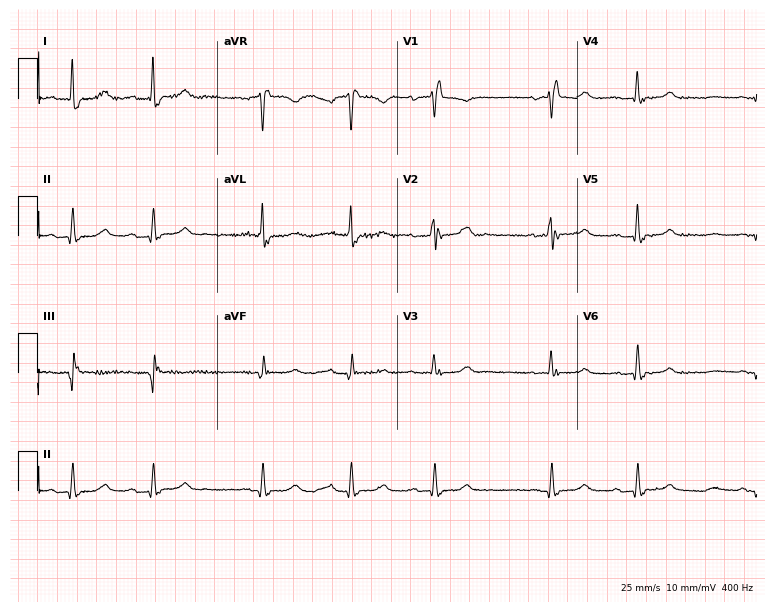
Electrocardiogram (7.3-second recording at 400 Hz), a female, 75 years old. Of the six screened findings (first-degree AV block, right bundle branch block, left bundle branch block, sinus bradycardia, atrial fibrillation, sinus tachycardia), none is recorded.